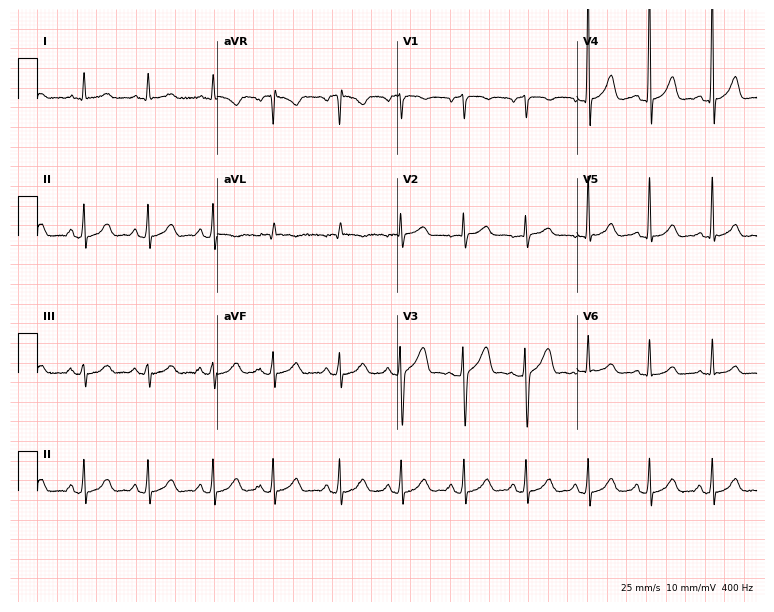
Standard 12-lead ECG recorded from a 71-year-old man. None of these six findings is recorded: first-degree AV block, right bundle branch block, left bundle branch block, sinus bradycardia, atrial fibrillation, sinus tachycardia.